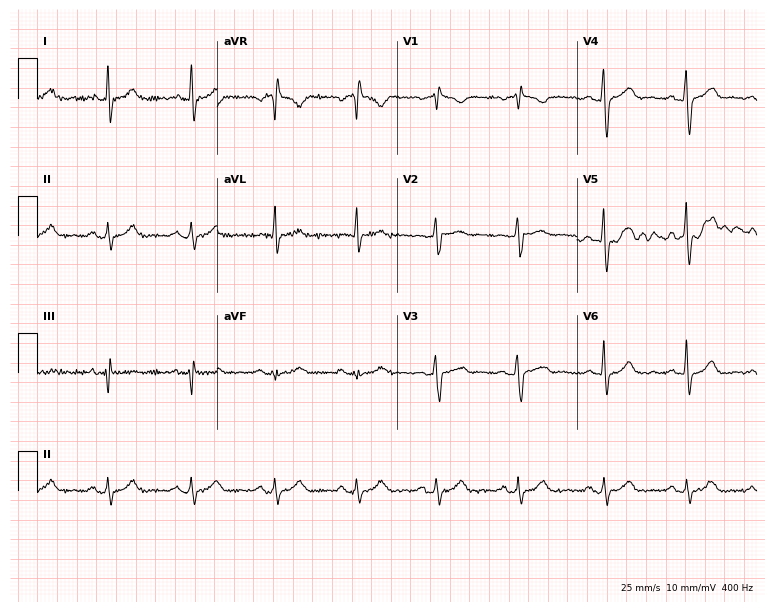
Electrocardiogram, a 60-year-old male. Of the six screened findings (first-degree AV block, right bundle branch block, left bundle branch block, sinus bradycardia, atrial fibrillation, sinus tachycardia), none is recorded. Other findings, if any, are not listed.